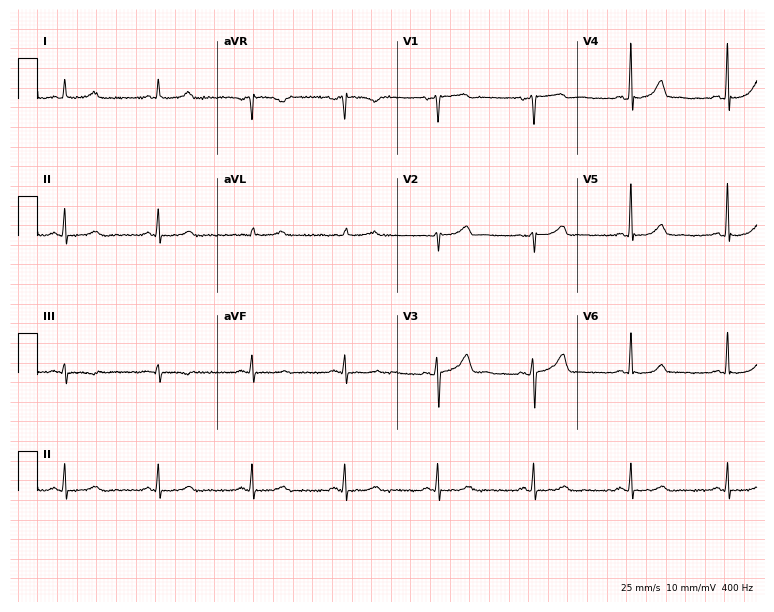
Resting 12-lead electrocardiogram (7.3-second recording at 400 Hz). Patient: a 53-year-old woman. None of these six findings is recorded: first-degree AV block, right bundle branch block, left bundle branch block, sinus bradycardia, atrial fibrillation, sinus tachycardia.